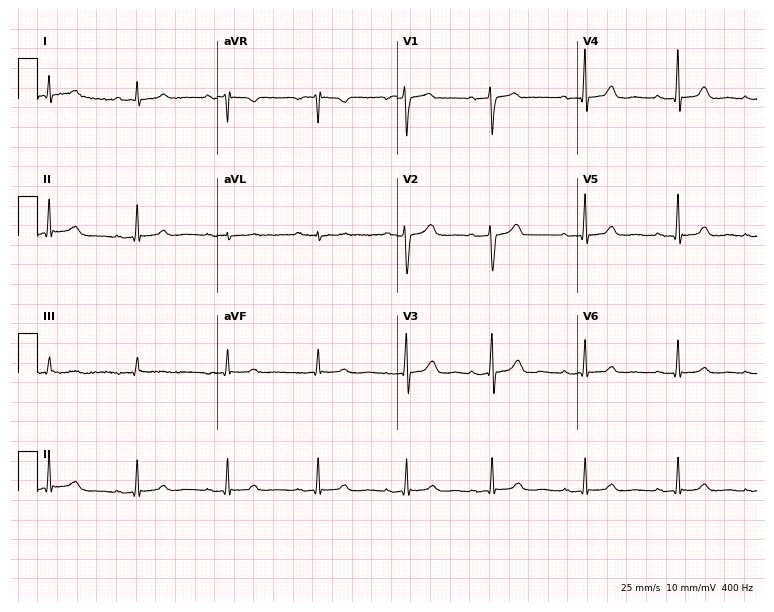
Electrocardiogram, a 49-year-old female. Overall reading on record: normal ECG.